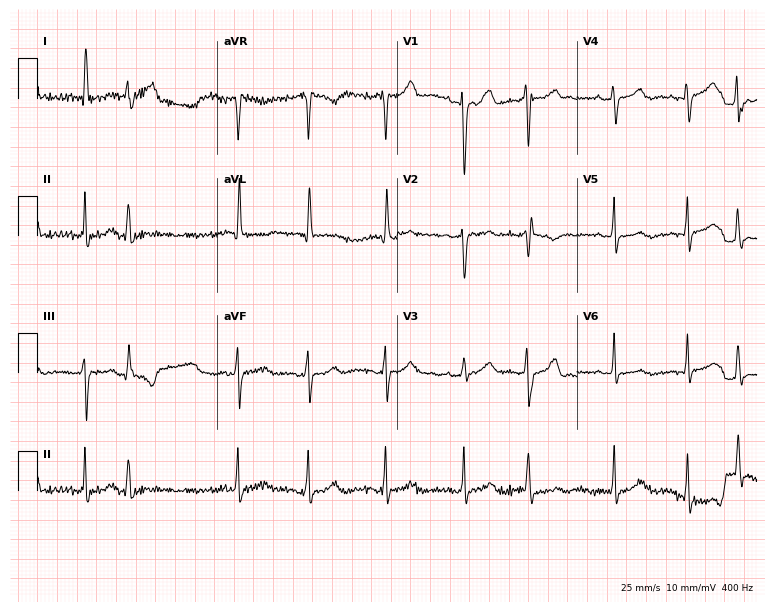
Resting 12-lead electrocardiogram (7.3-second recording at 400 Hz). Patient: a 64-year-old female. None of these six findings is recorded: first-degree AV block, right bundle branch block (RBBB), left bundle branch block (LBBB), sinus bradycardia, atrial fibrillation (AF), sinus tachycardia. Findings outside these six are not listed.